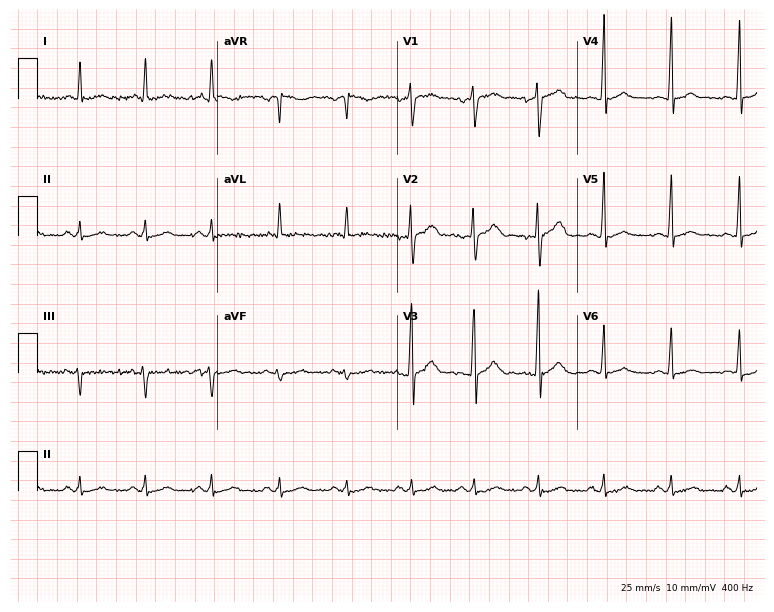
12-lead ECG from a male patient, 43 years old. No first-degree AV block, right bundle branch block, left bundle branch block, sinus bradycardia, atrial fibrillation or sinus tachycardia recorded for this tracing.